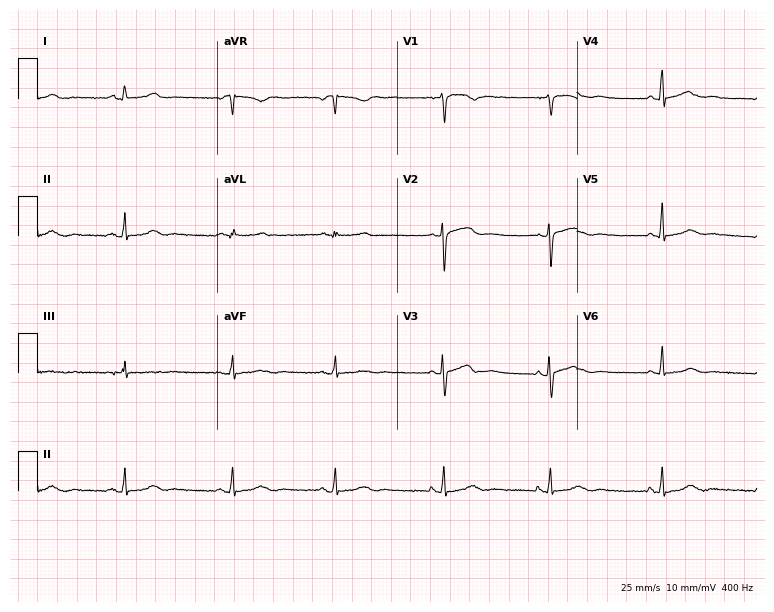
Resting 12-lead electrocardiogram. Patient: a woman, 68 years old. Read as a normal ECG.